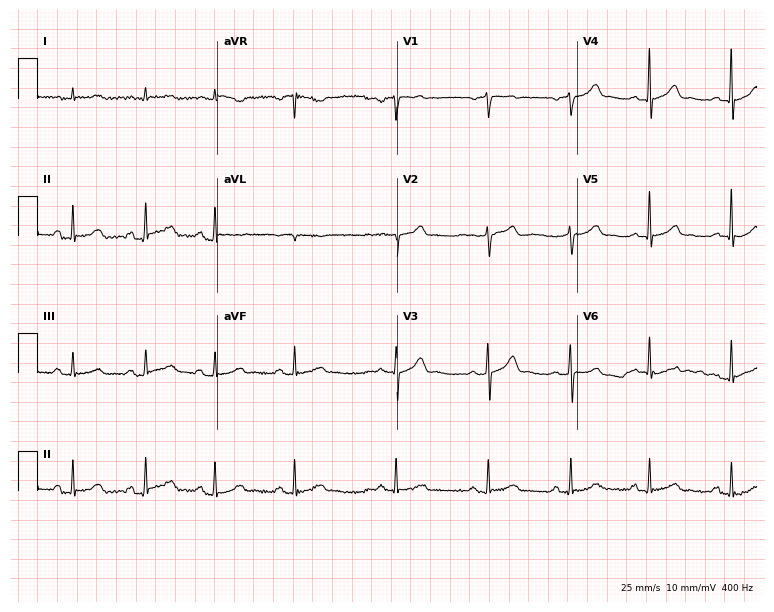
Resting 12-lead electrocardiogram. Patient: a man, 39 years old. Read as a normal ECG.